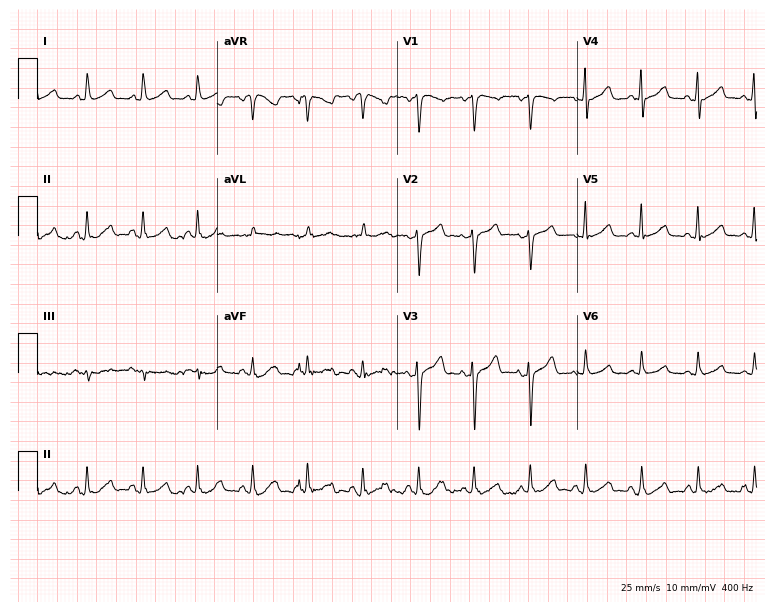
ECG (7.3-second recording at 400 Hz) — a female, 68 years old. Screened for six findings — first-degree AV block, right bundle branch block (RBBB), left bundle branch block (LBBB), sinus bradycardia, atrial fibrillation (AF), sinus tachycardia — none is recorded.